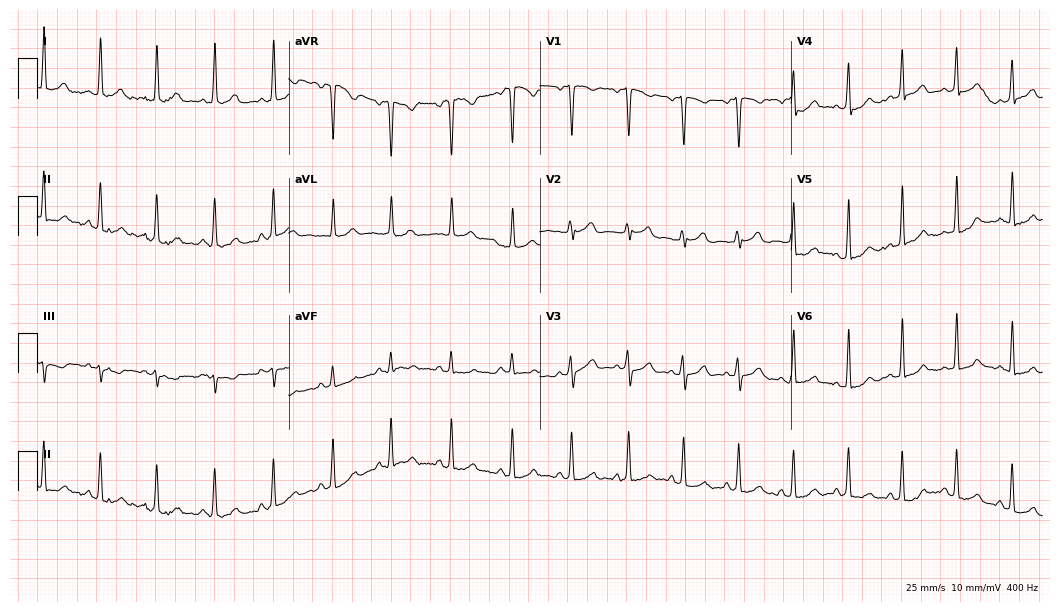
12-lead ECG (10.2-second recording at 400 Hz) from a female patient, 17 years old. Labelled as a normal ECG.